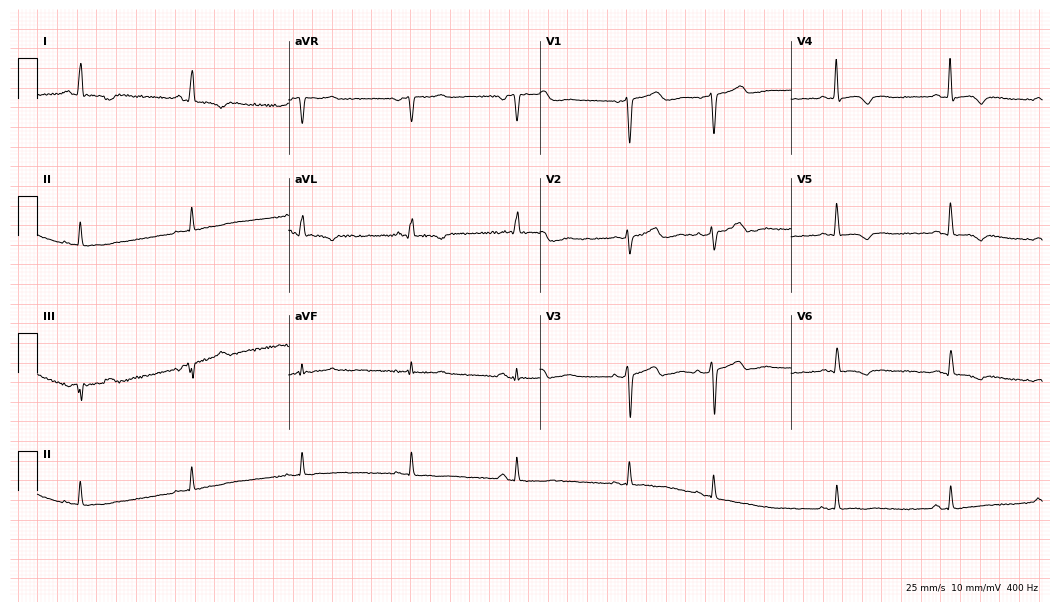
Resting 12-lead electrocardiogram (10.2-second recording at 400 Hz). Patient: a female, 55 years old. None of these six findings is recorded: first-degree AV block, right bundle branch block, left bundle branch block, sinus bradycardia, atrial fibrillation, sinus tachycardia. Other findings, if any, are not listed.